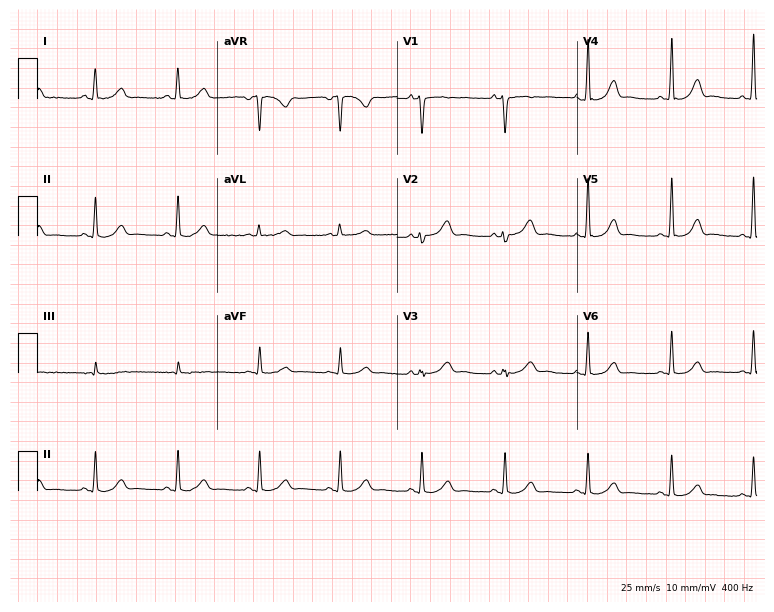
Resting 12-lead electrocardiogram. Patient: a female, 61 years old. None of these six findings is recorded: first-degree AV block, right bundle branch block, left bundle branch block, sinus bradycardia, atrial fibrillation, sinus tachycardia. Findings outside these six are not listed.